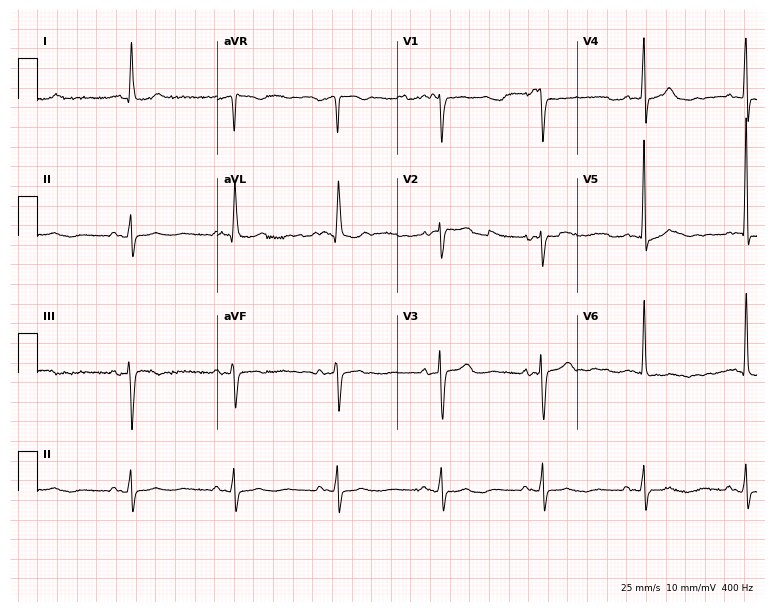
12-lead ECG from a female, 86 years old (7.3-second recording at 400 Hz). Recorded interpretation: within normal limits.